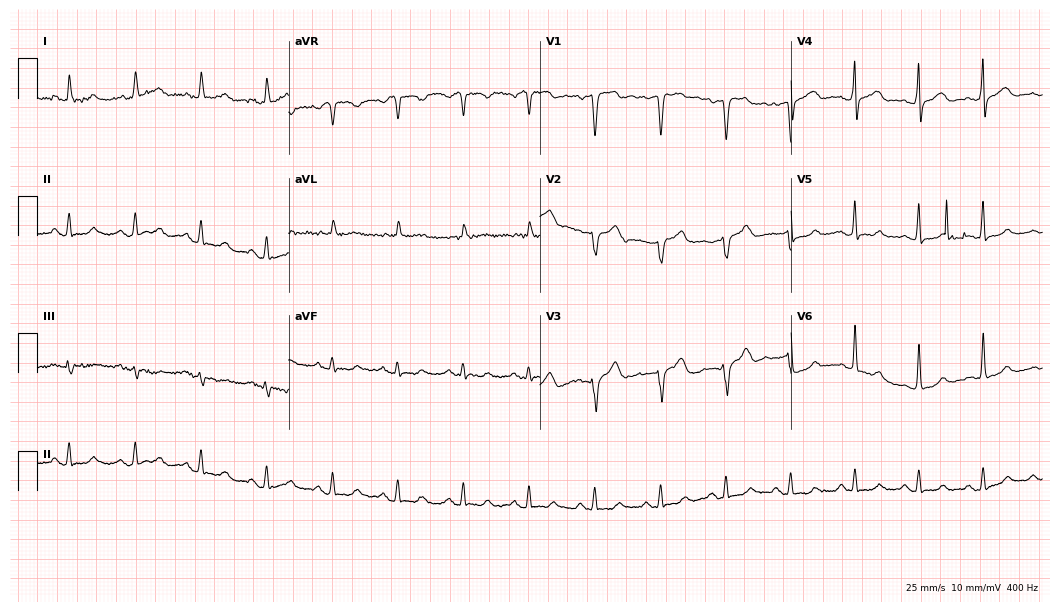
Electrocardiogram, a 64-year-old male patient. Overall reading on record: normal ECG.